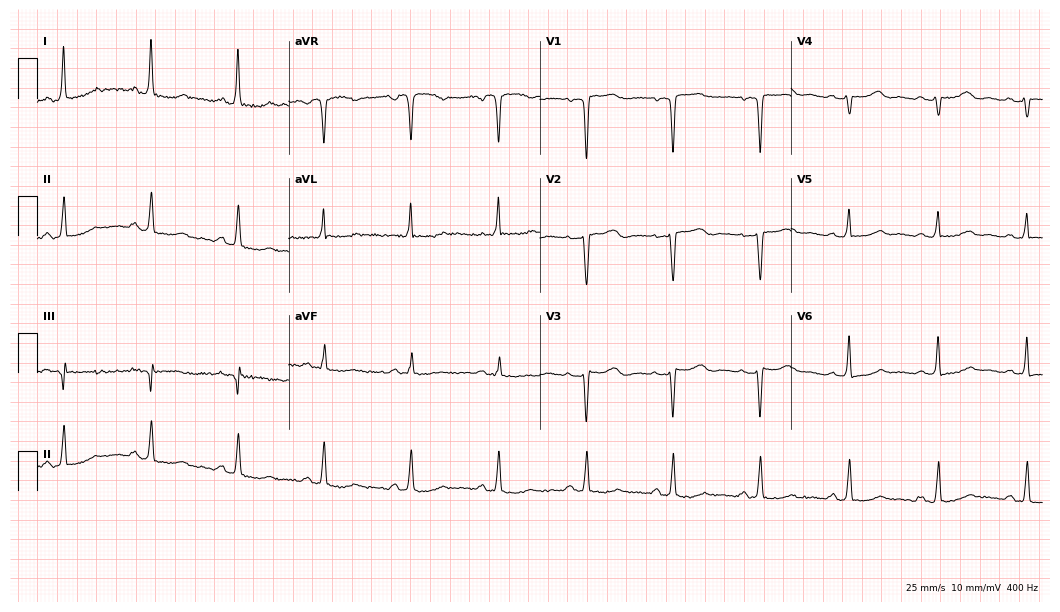
12-lead ECG (10.2-second recording at 400 Hz) from a 67-year-old female patient. Screened for six findings — first-degree AV block, right bundle branch block, left bundle branch block, sinus bradycardia, atrial fibrillation, sinus tachycardia — none is recorded. Findings outside these six are not listed.